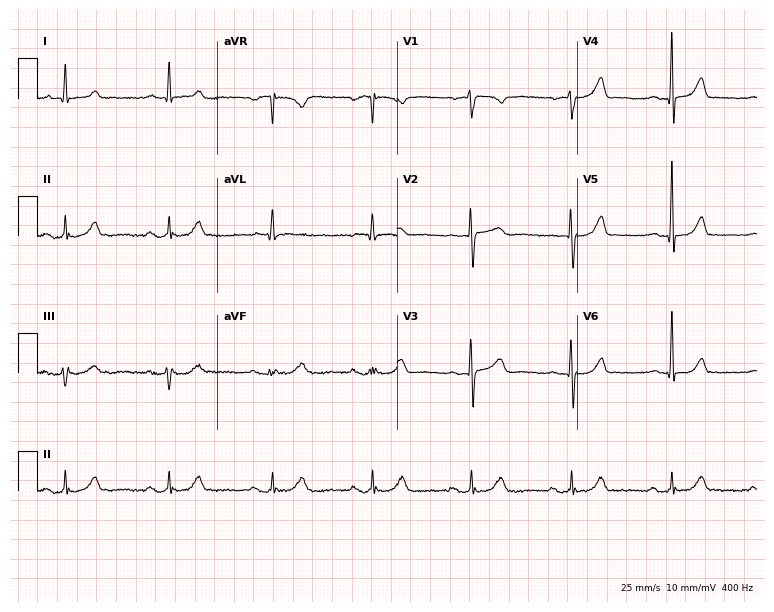
Standard 12-lead ECG recorded from a male, 79 years old (7.3-second recording at 400 Hz). Read as a normal ECG.